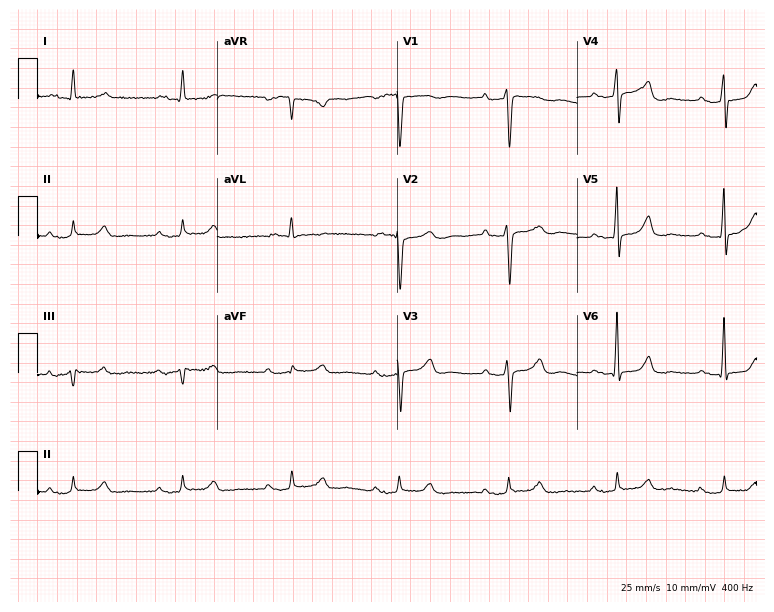
Electrocardiogram, a 76-year-old woman. Interpretation includes first-degree AV block.